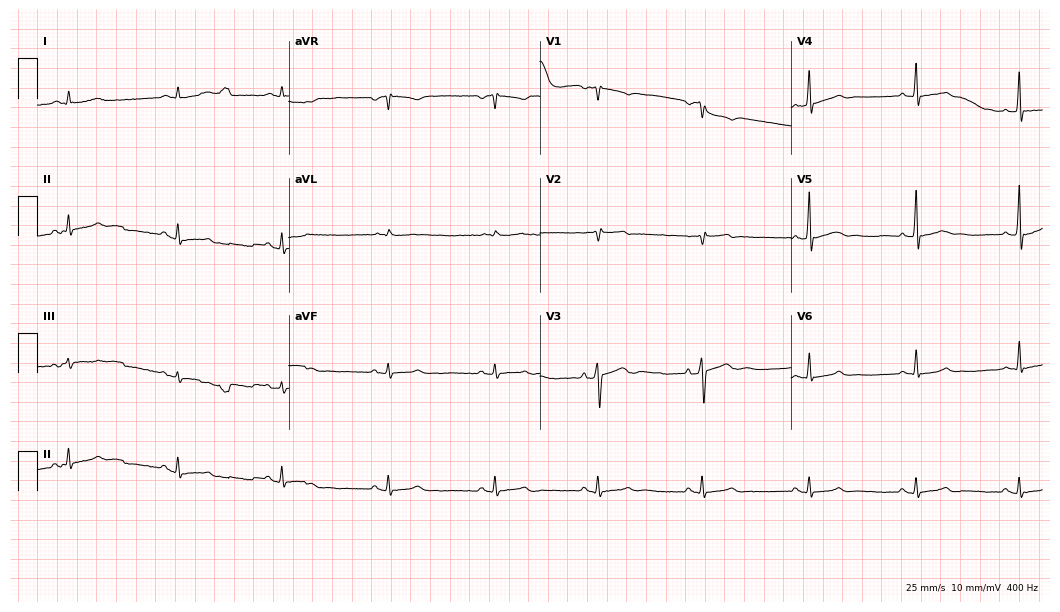
ECG (10.2-second recording at 400 Hz) — a 58-year-old male patient. Findings include sinus bradycardia (a sinus rate of 50 beats per minute or less).